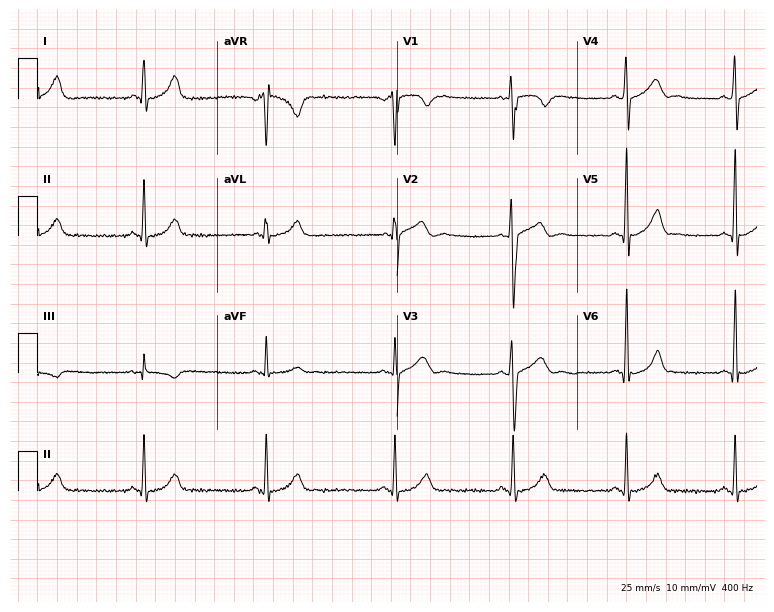
12-lead ECG from a man, 26 years old (7.3-second recording at 400 Hz). Shows sinus bradycardia (a sinus rate of 50 beats per minute or less).